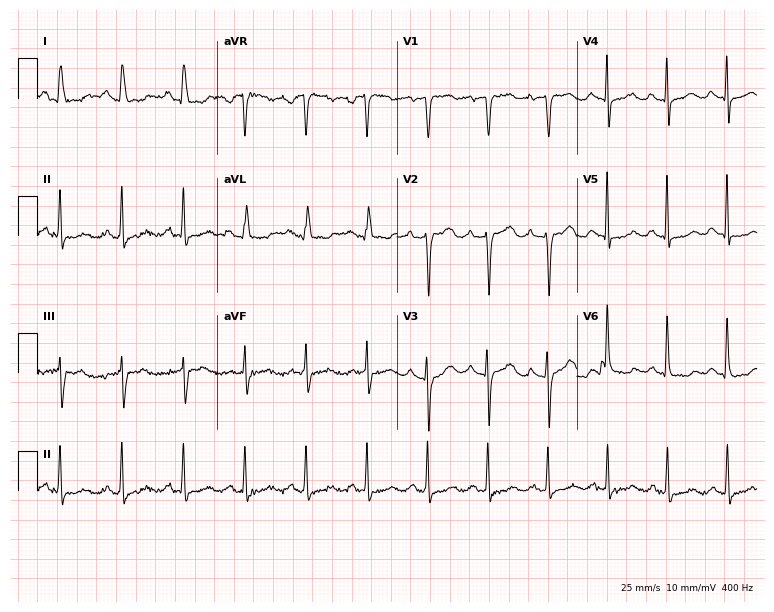
Standard 12-lead ECG recorded from an 84-year-old female patient. None of these six findings is recorded: first-degree AV block, right bundle branch block (RBBB), left bundle branch block (LBBB), sinus bradycardia, atrial fibrillation (AF), sinus tachycardia. Other findings, if any, are not listed.